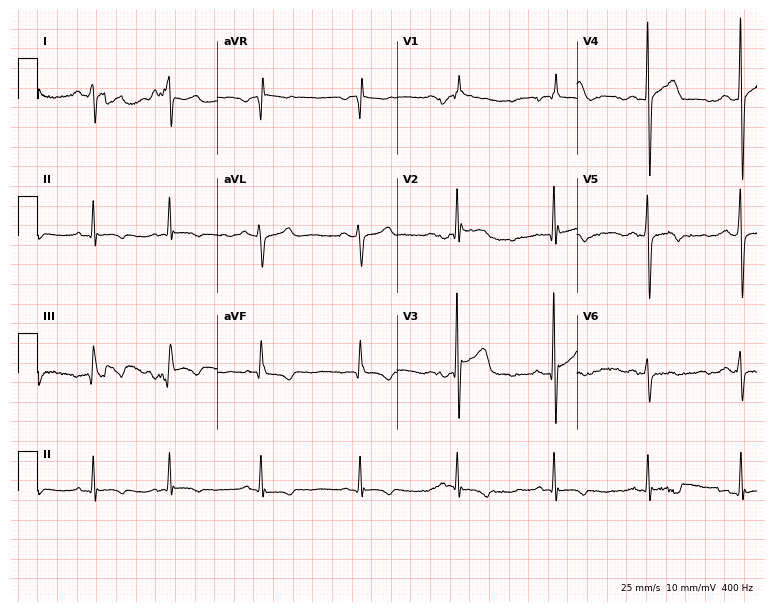
Standard 12-lead ECG recorded from a man, 72 years old. None of these six findings is recorded: first-degree AV block, right bundle branch block, left bundle branch block, sinus bradycardia, atrial fibrillation, sinus tachycardia. Other findings, if any, are not listed.